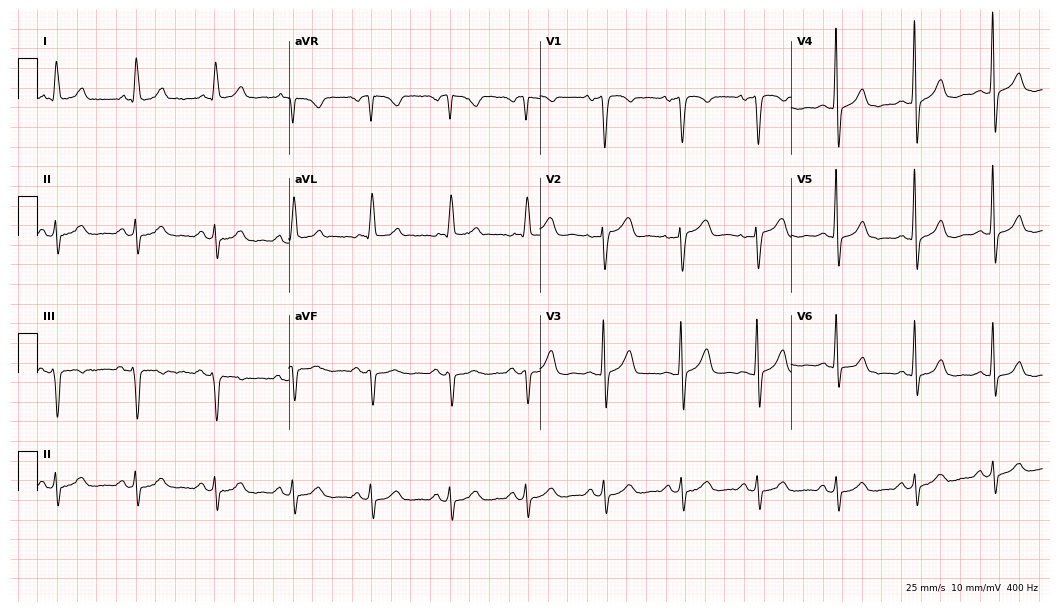
12-lead ECG from a woman, 61 years old (10.2-second recording at 400 Hz). No first-degree AV block, right bundle branch block, left bundle branch block, sinus bradycardia, atrial fibrillation or sinus tachycardia recorded for this tracing. Other findings, if any, are not listed.